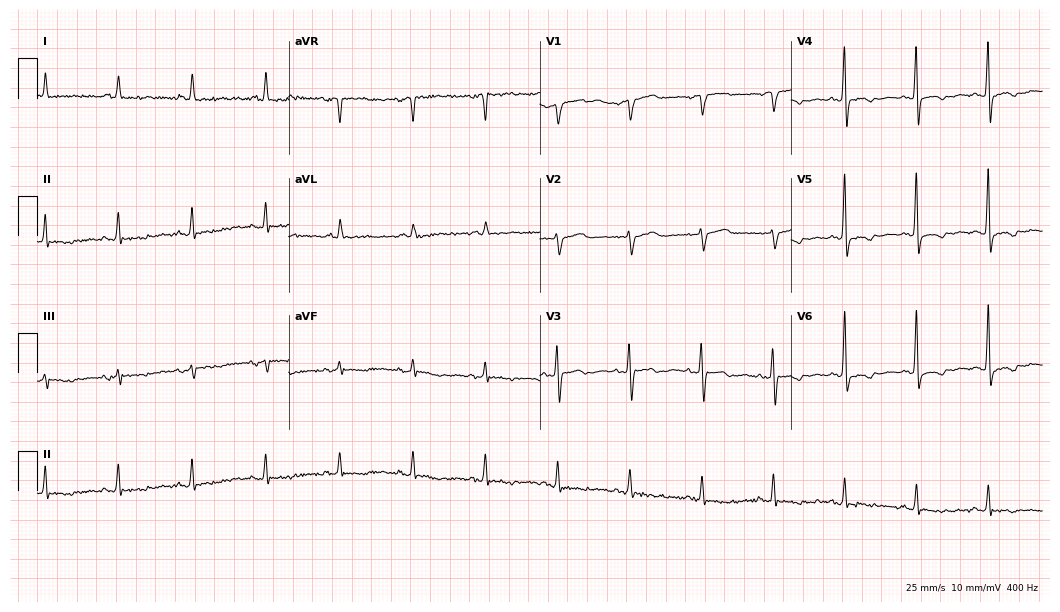
Standard 12-lead ECG recorded from a woman, 67 years old (10.2-second recording at 400 Hz). None of these six findings is recorded: first-degree AV block, right bundle branch block (RBBB), left bundle branch block (LBBB), sinus bradycardia, atrial fibrillation (AF), sinus tachycardia. Only these six findings were labelled.